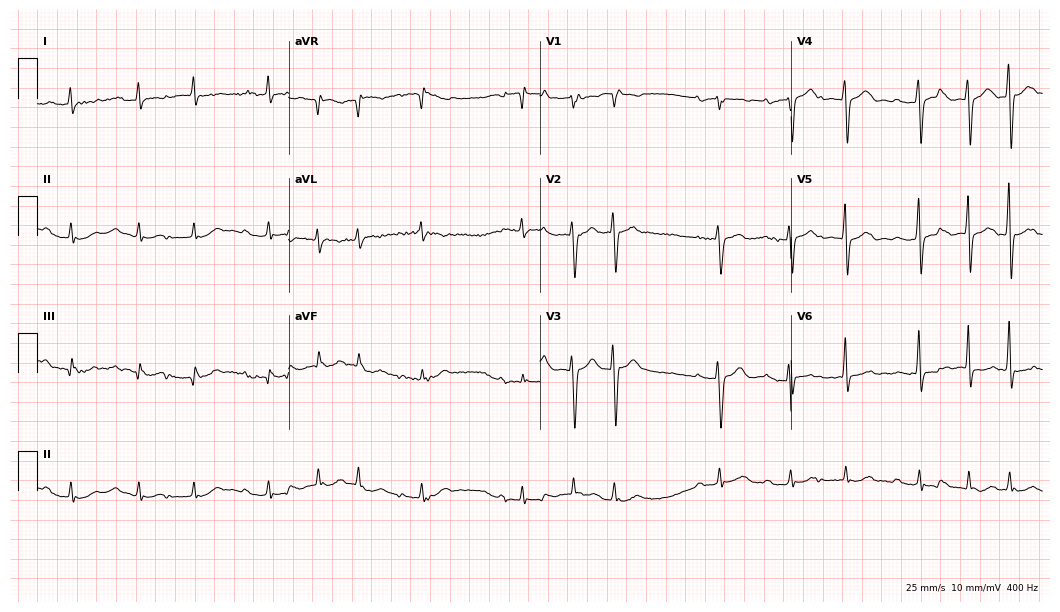
ECG (10.2-second recording at 400 Hz) — a 74-year-old male patient. Findings include atrial fibrillation (AF).